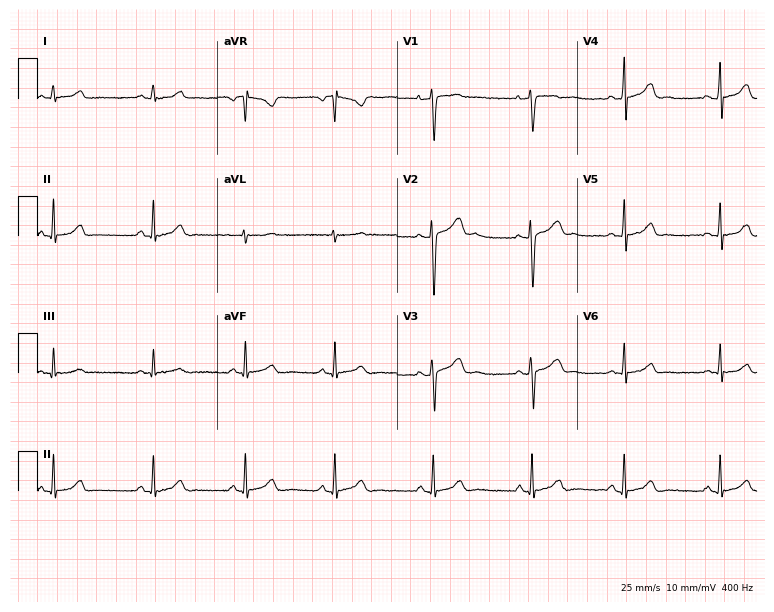
ECG (7.3-second recording at 400 Hz) — a 17-year-old female. Labelled as a normal ECG.